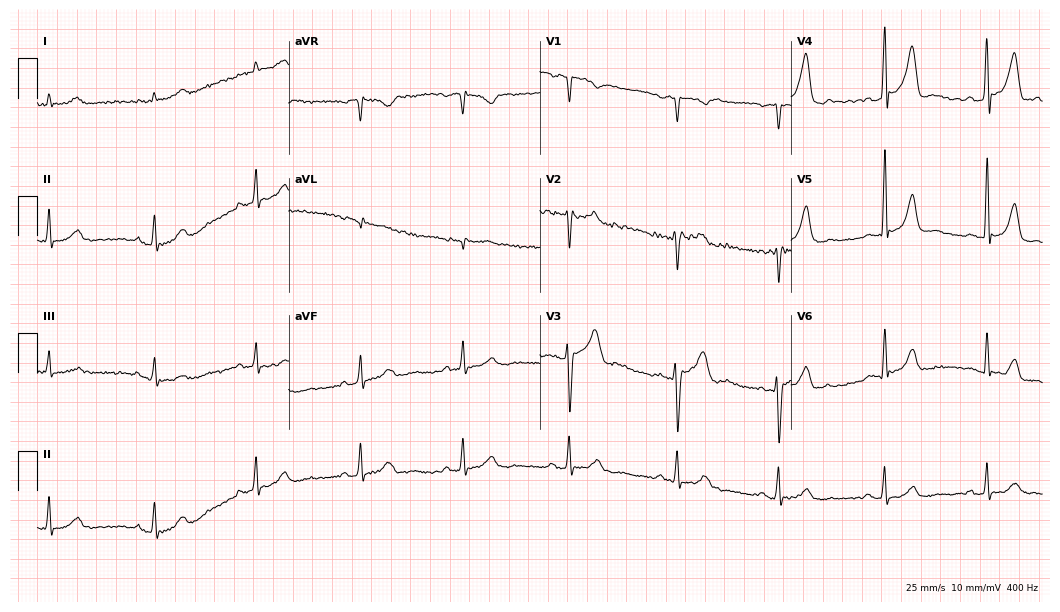
Resting 12-lead electrocardiogram. Patient: a male, 49 years old. Read as a normal ECG.